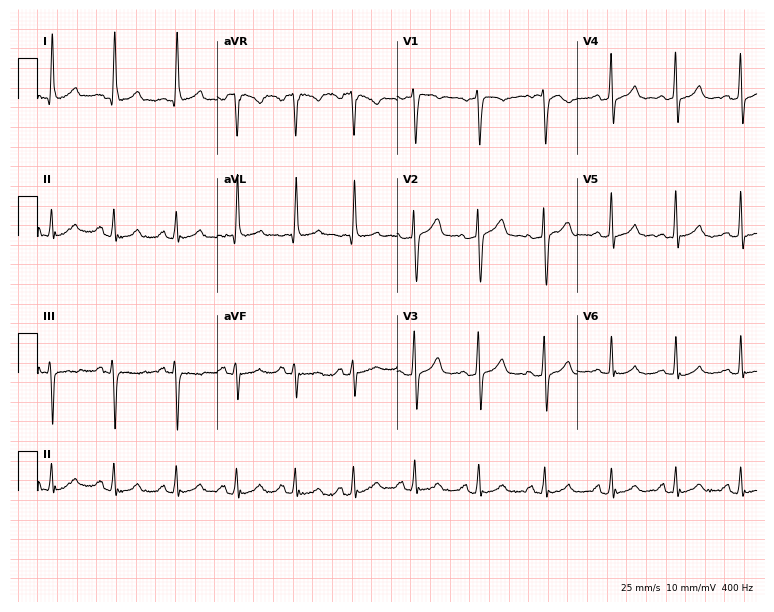
12-lead ECG from a female, 26 years old. Labelled as a normal ECG.